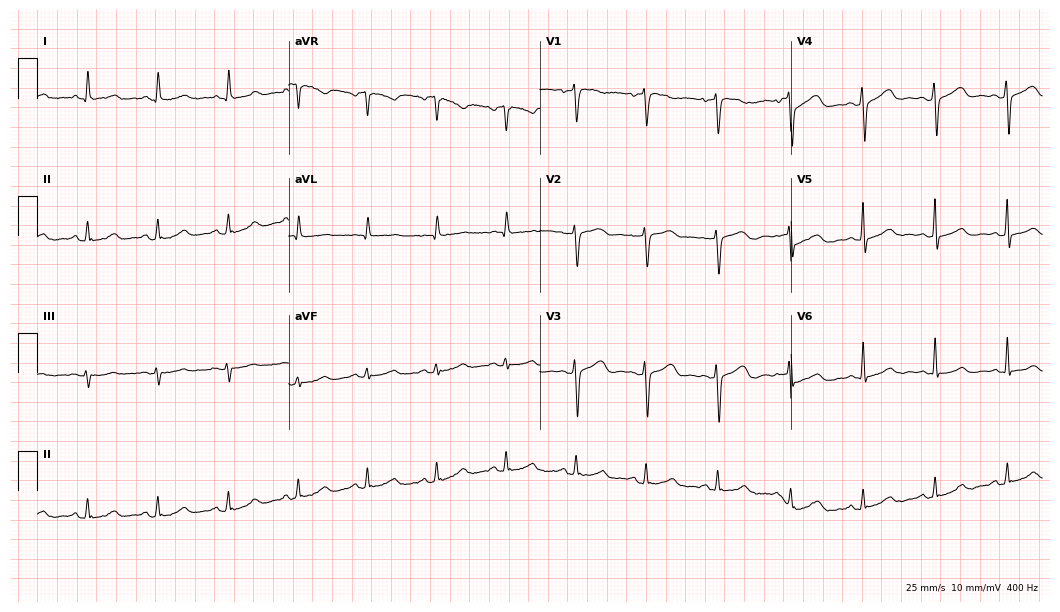
Standard 12-lead ECG recorded from a 58-year-old female patient. None of these six findings is recorded: first-degree AV block, right bundle branch block, left bundle branch block, sinus bradycardia, atrial fibrillation, sinus tachycardia.